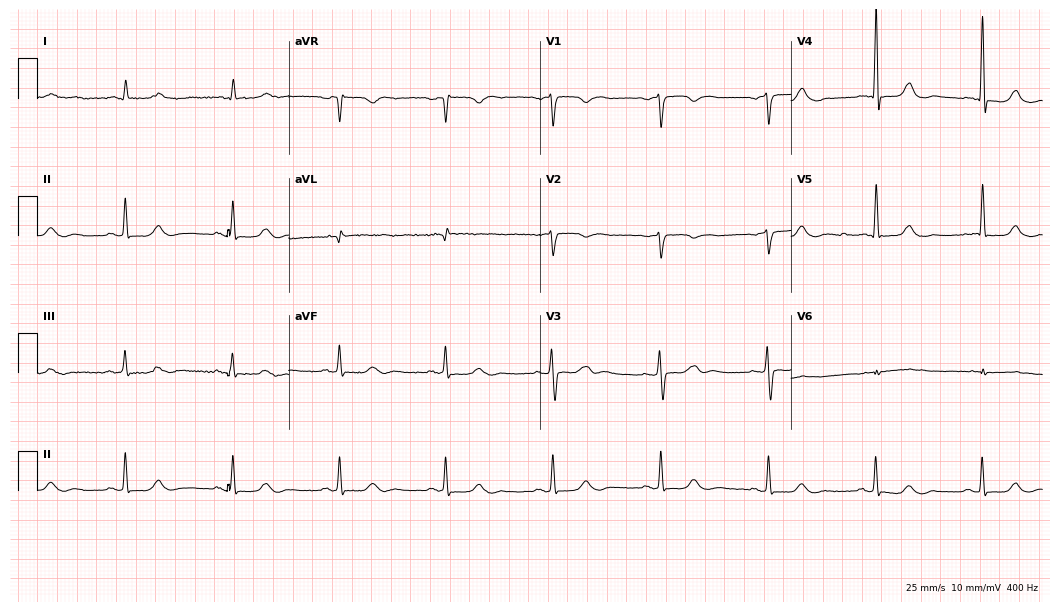
Resting 12-lead electrocardiogram. Patient: a male, 81 years old. Read as a normal ECG.